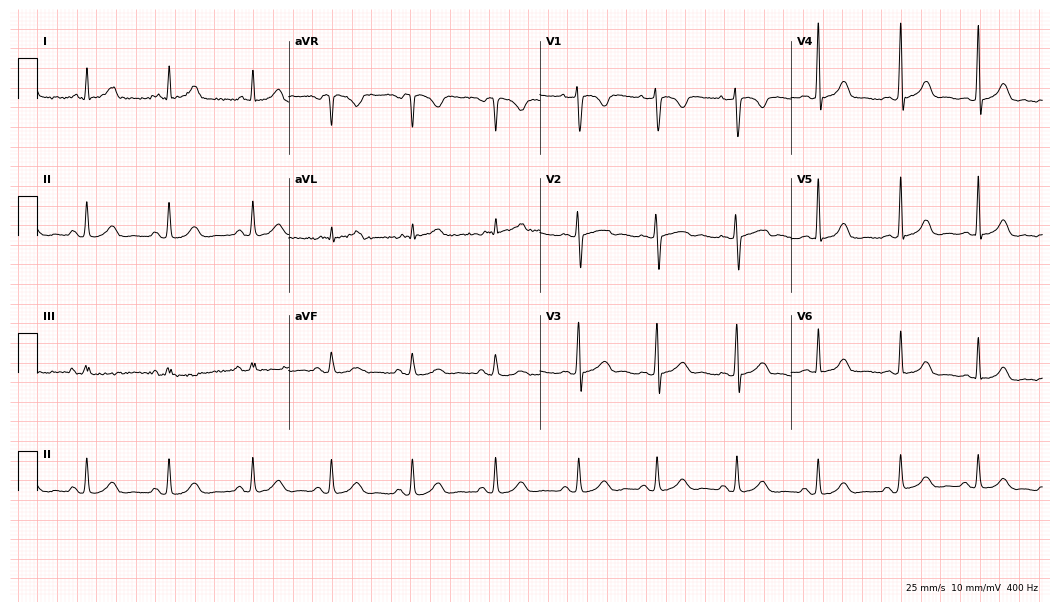
ECG — a 34-year-old female. Labelled as a normal ECG.